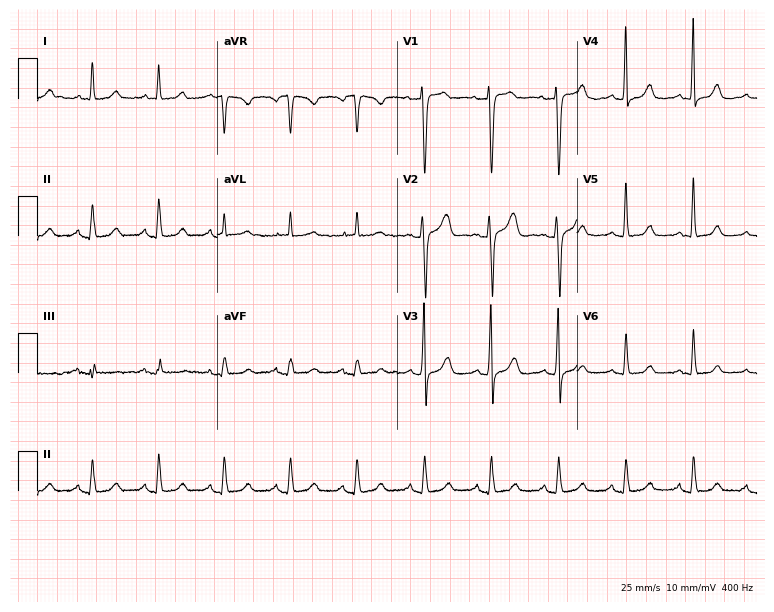
12-lead ECG (7.3-second recording at 400 Hz) from a female, 75 years old. Screened for six findings — first-degree AV block, right bundle branch block, left bundle branch block, sinus bradycardia, atrial fibrillation, sinus tachycardia — none is recorded.